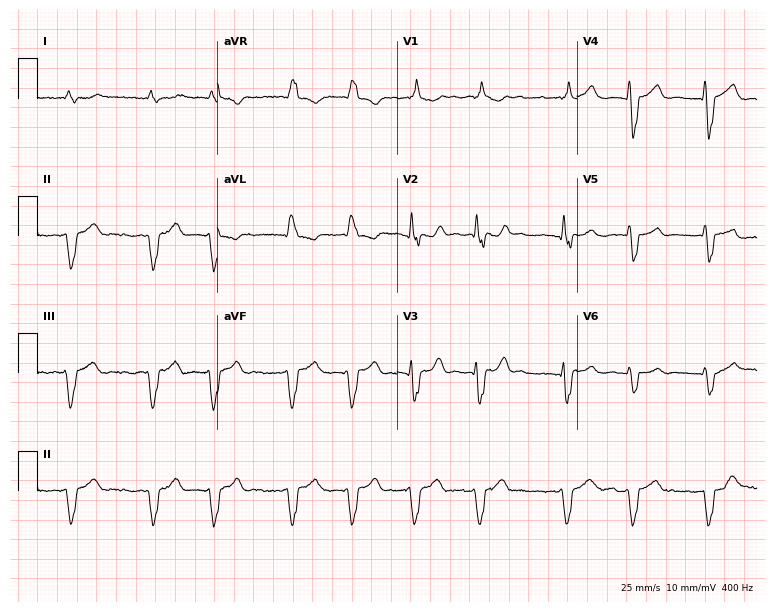
ECG — an 83-year-old man. Findings include right bundle branch block (RBBB).